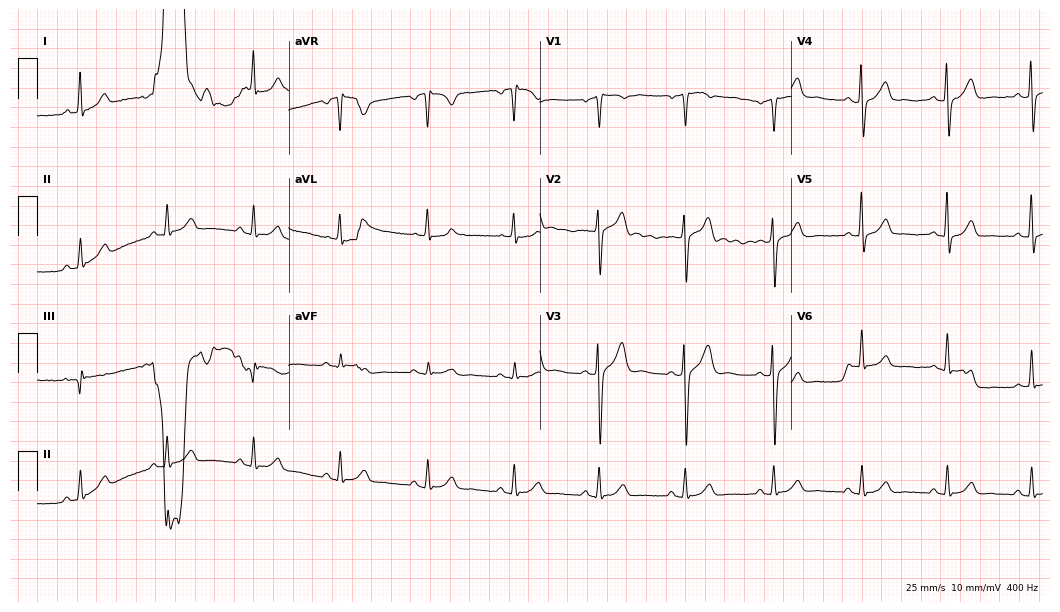
ECG — a 56-year-old man. Screened for six findings — first-degree AV block, right bundle branch block, left bundle branch block, sinus bradycardia, atrial fibrillation, sinus tachycardia — none is recorded. Other findings, if any, are not listed.